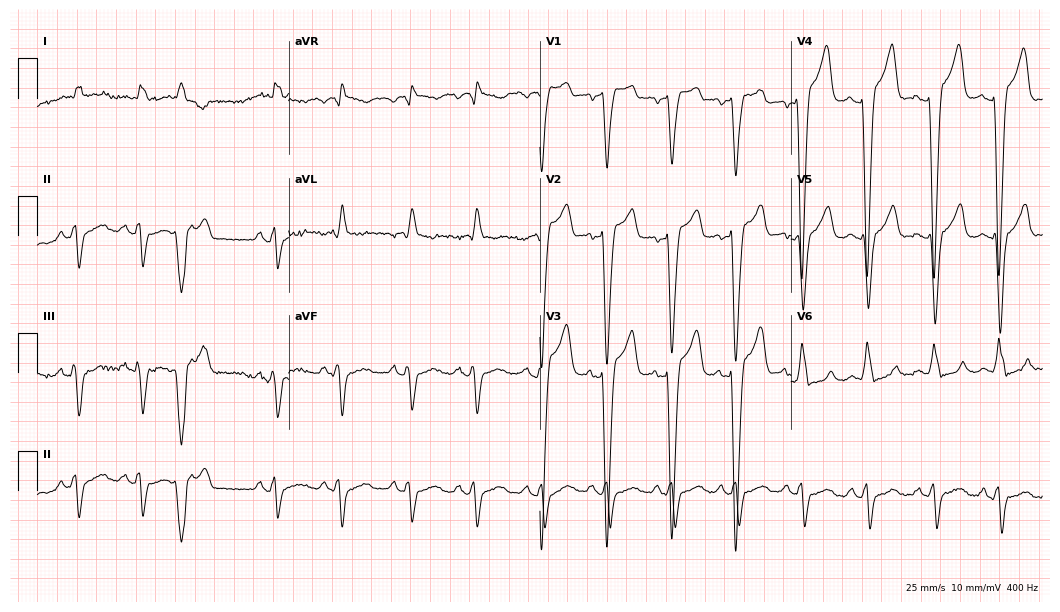
ECG — a female, 76 years old. Findings include left bundle branch block (LBBB).